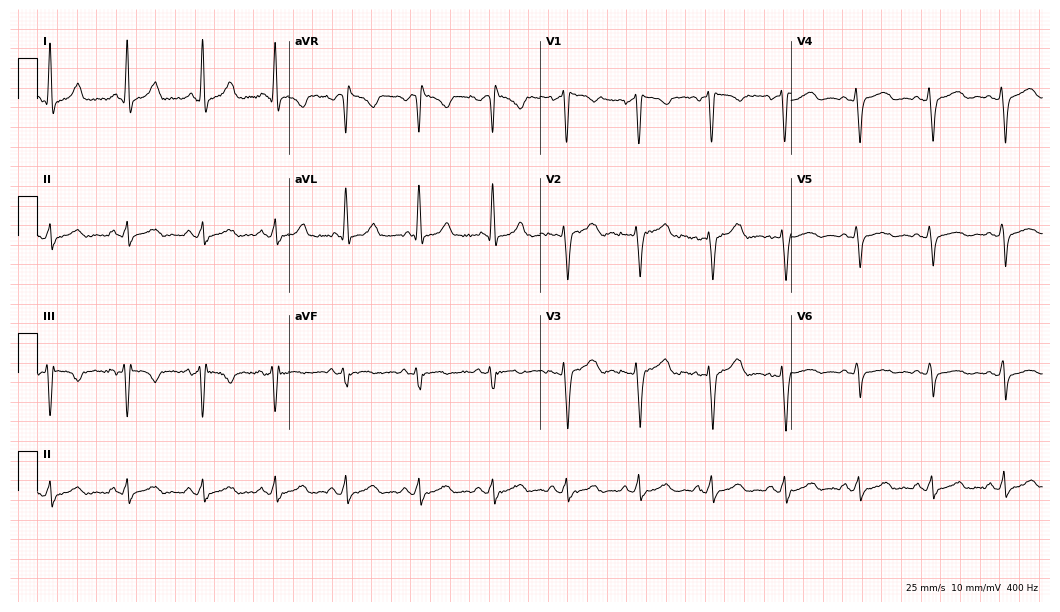
Standard 12-lead ECG recorded from a 50-year-old female patient (10.2-second recording at 400 Hz). None of these six findings is recorded: first-degree AV block, right bundle branch block, left bundle branch block, sinus bradycardia, atrial fibrillation, sinus tachycardia.